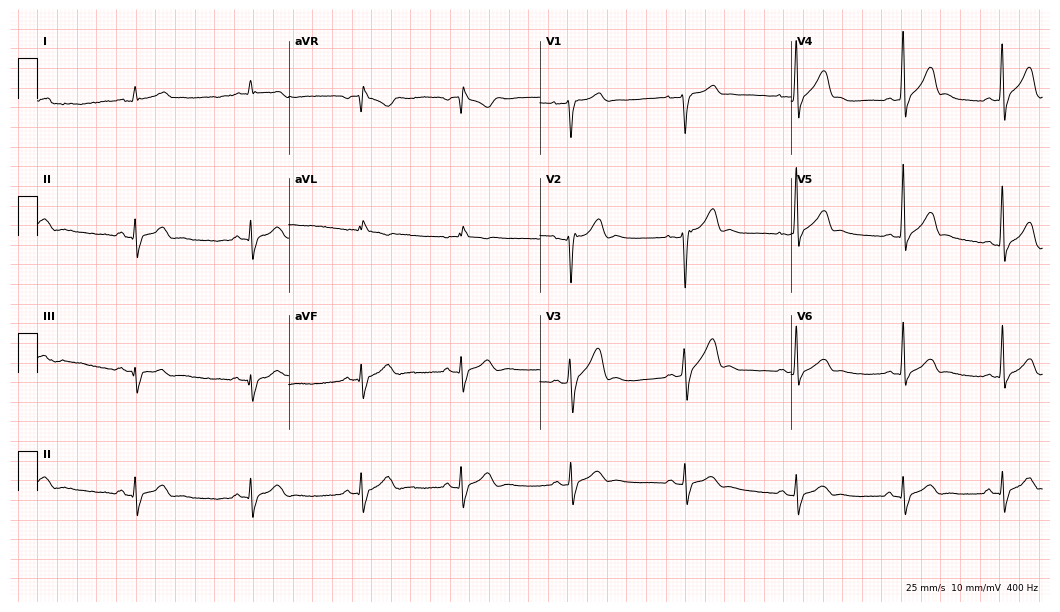
ECG — a male patient, 37 years old. Screened for six findings — first-degree AV block, right bundle branch block, left bundle branch block, sinus bradycardia, atrial fibrillation, sinus tachycardia — none is recorded.